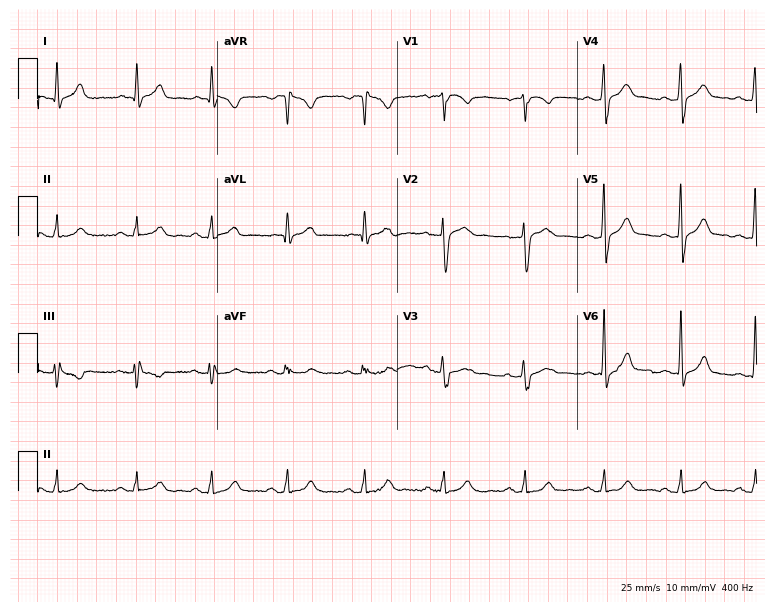
Electrocardiogram (7.3-second recording at 400 Hz), a 54-year-old male. Overall reading on record: normal ECG.